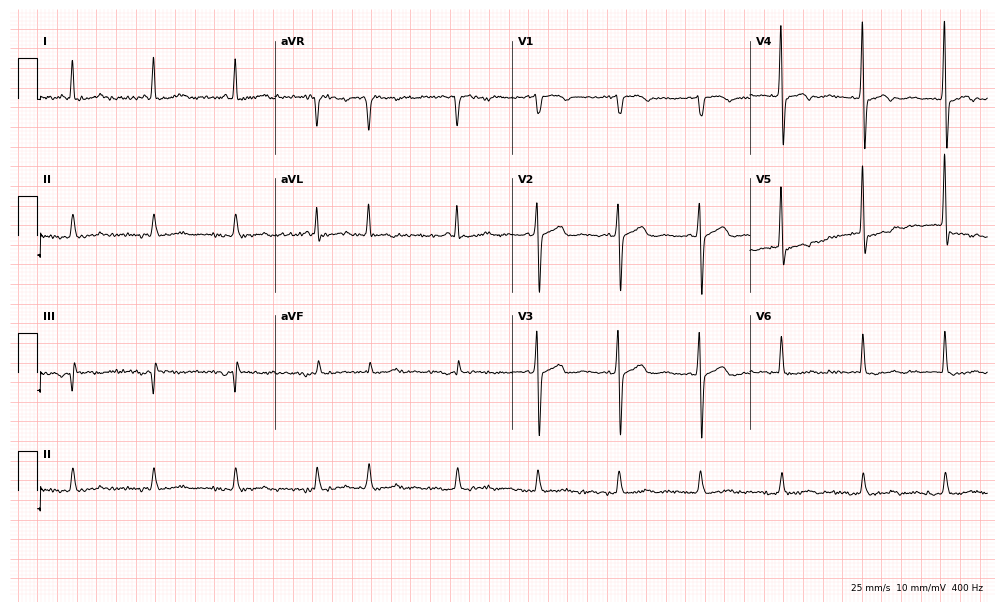
ECG (9.7-second recording at 400 Hz) — a 69-year-old male. Screened for six findings — first-degree AV block, right bundle branch block (RBBB), left bundle branch block (LBBB), sinus bradycardia, atrial fibrillation (AF), sinus tachycardia — none is recorded.